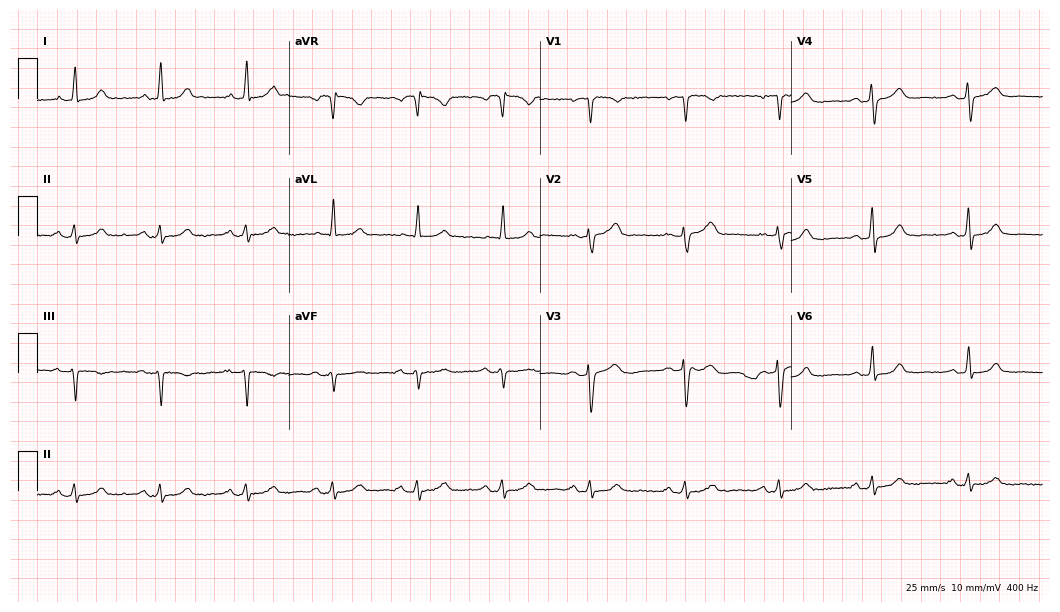
Resting 12-lead electrocardiogram (10.2-second recording at 400 Hz). Patient: a woman, 57 years old. Read as a normal ECG.